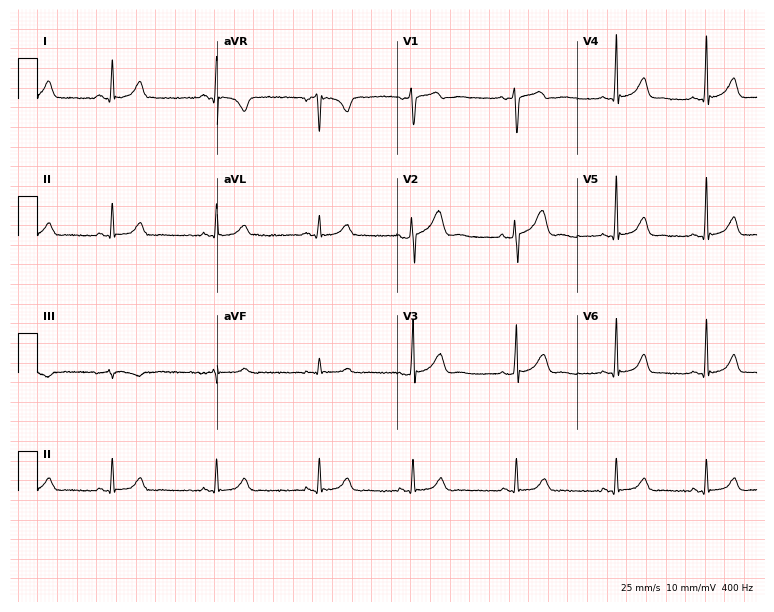
12-lead ECG (7.3-second recording at 400 Hz) from a male, 23 years old. Labelled as a normal ECG.